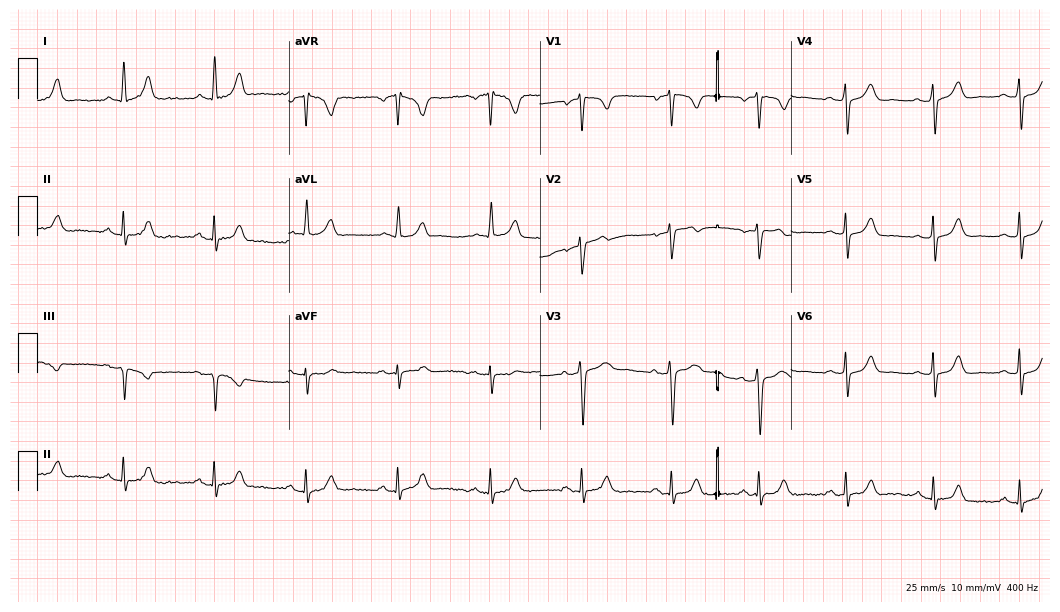
Resting 12-lead electrocardiogram (10.2-second recording at 400 Hz). Patient: a female, 57 years old. Read as a normal ECG.